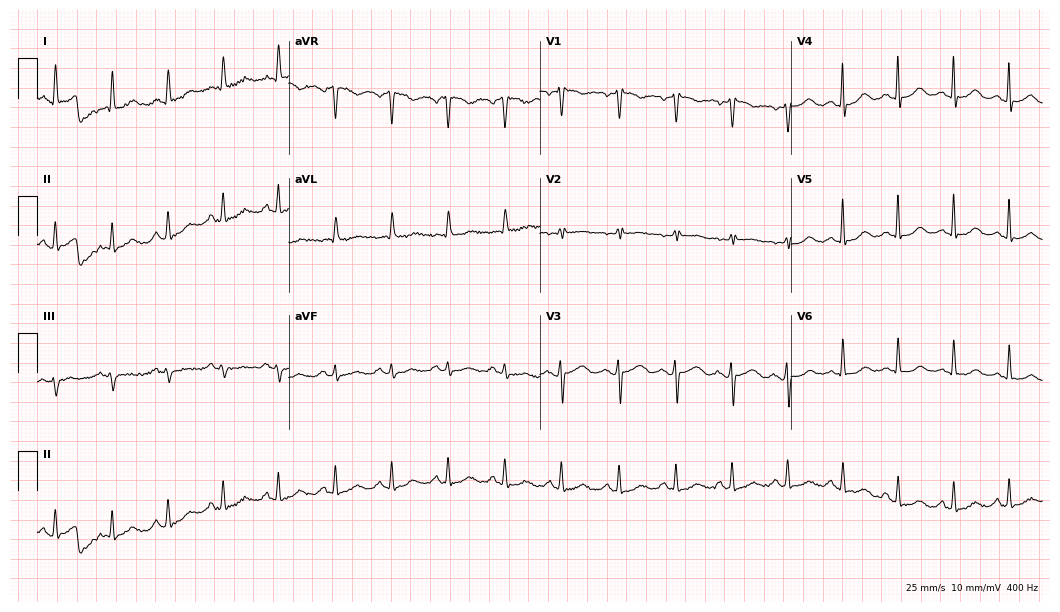
Resting 12-lead electrocardiogram. Patient: a female, 55 years old. The tracing shows sinus tachycardia (a sinus rate of 100 beats per minute or more).